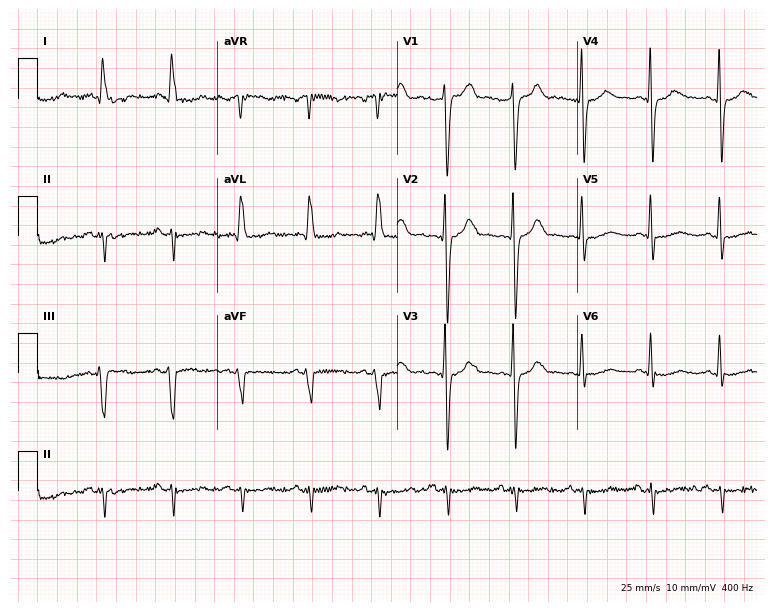
Resting 12-lead electrocardiogram (7.3-second recording at 400 Hz). Patient: a female, 67 years old. None of these six findings is recorded: first-degree AV block, right bundle branch block (RBBB), left bundle branch block (LBBB), sinus bradycardia, atrial fibrillation (AF), sinus tachycardia. Other findings, if any, are not listed.